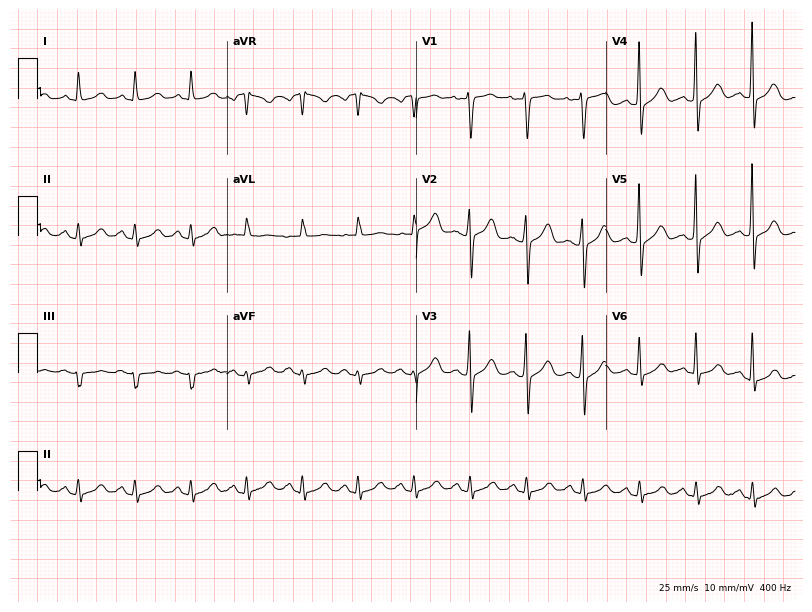
Resting 12-lead electrocardiogram (7.7-second recording at 400 Hz). Patient: a 66-year-old woman. The tracing shows sinus tachycardia (a sinus rate of 100 beats per minute or more).